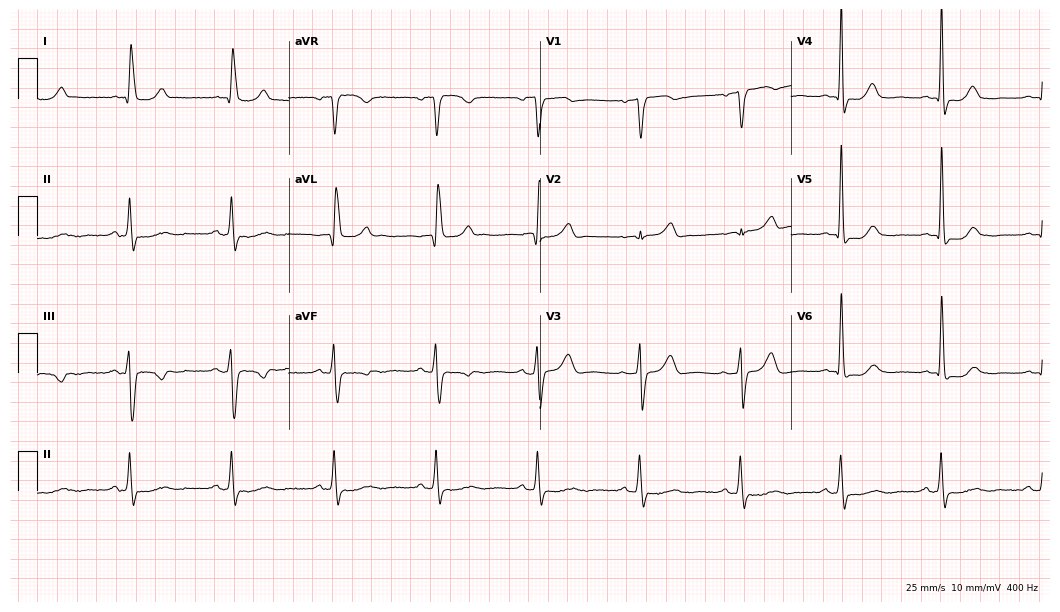
Electrocardiogram (10.2-second recording at 400 Hz), a 75-year-old female patient. Of the six screened findings (first-degree AV block, right bundle branch block, left bundle branch block, sinus bradycardia, atrial fibrillation, sinus tachycardia), none is recorded. Other findings, if any, are not listed.